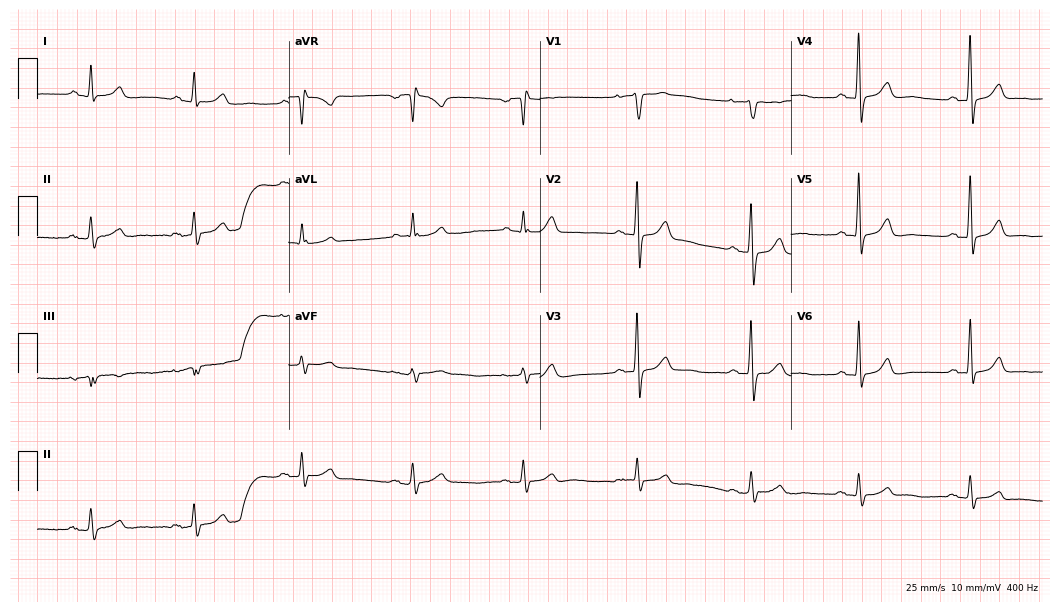
Resting 12-lead electrocardiogram. Patient: a male, 57 years old. None of these six findings is recorded: first-degree AV block, right bundle branch block, left bundle branch block, sinus bradycardia, atrial fibrillation, sinus tachycardia.